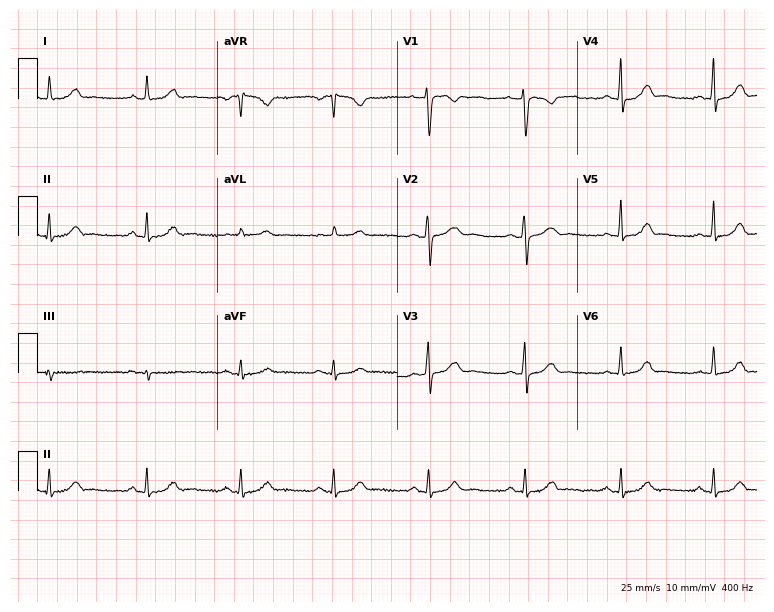
12-lead ECG from a 41-year-old female. No first-degree AV block, right bundle branch block, left bundle branch block, sinus bradycardia, atrial fibrillation or sinus tachycardia recorded for this tracing.